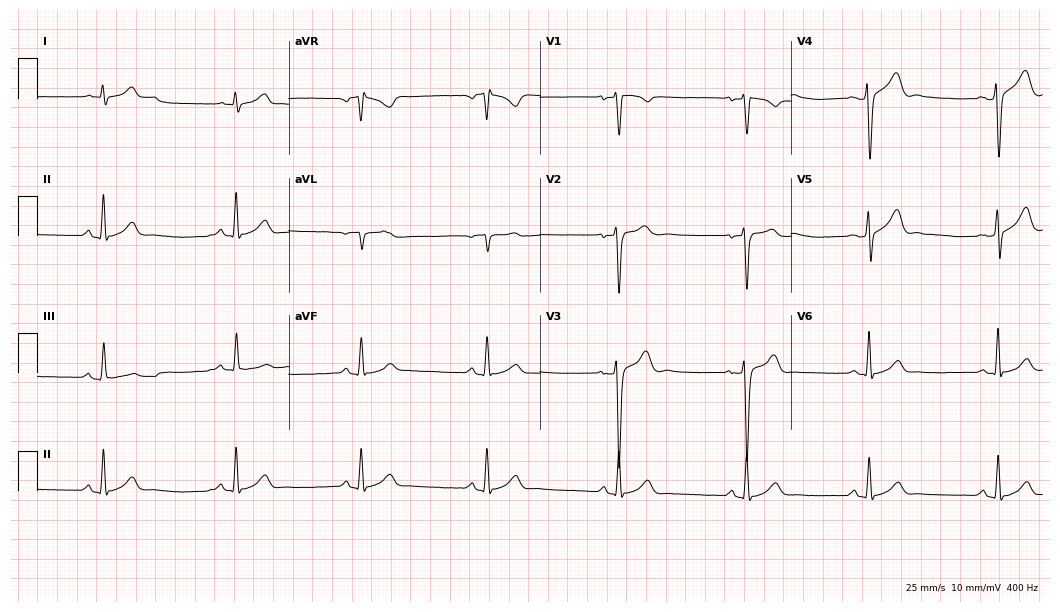
Resting 12-lead electrocardiogram (10.2-second recording at 400 Hz). Patient: a 29-year-old male. The tracing shows sinus bradycardia (a sinus rate of 50 beats per minute or less).